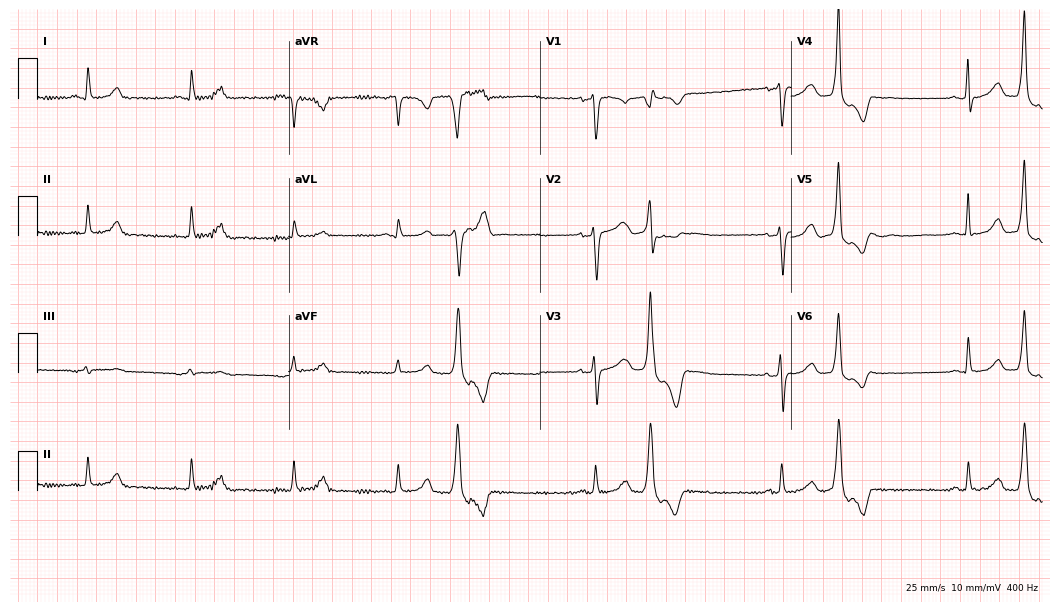
12-lead ECG (10.2-second recording at 400 Hz) from a woman, 39 years old. Screened for six findings — first-degree AV block, right bundle branch block (RBBB), left bundle branch block (LBBB), sinus bradycardia, atrial fibrillation (AF), sinus tachycardia — none is recorded.